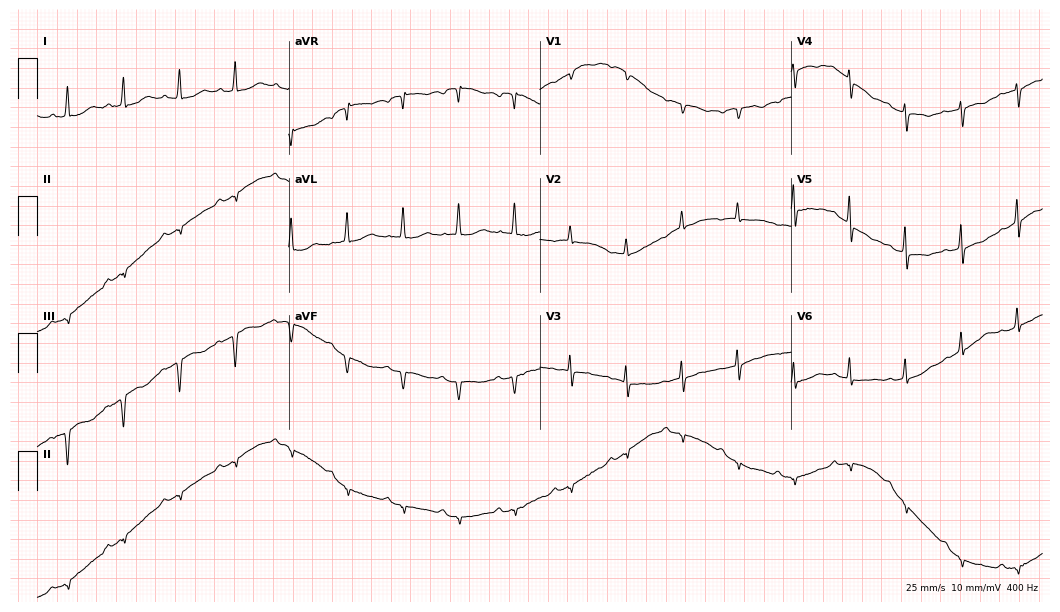
12-lead ECG from a female, 72 years old. No first-degree AV block, right bundle branch block (RBBB), left bundle branch block (LBBB), sinus bradycardia, atrial fibrillation (AF) or sinus tachycardia recorded for this tracing.